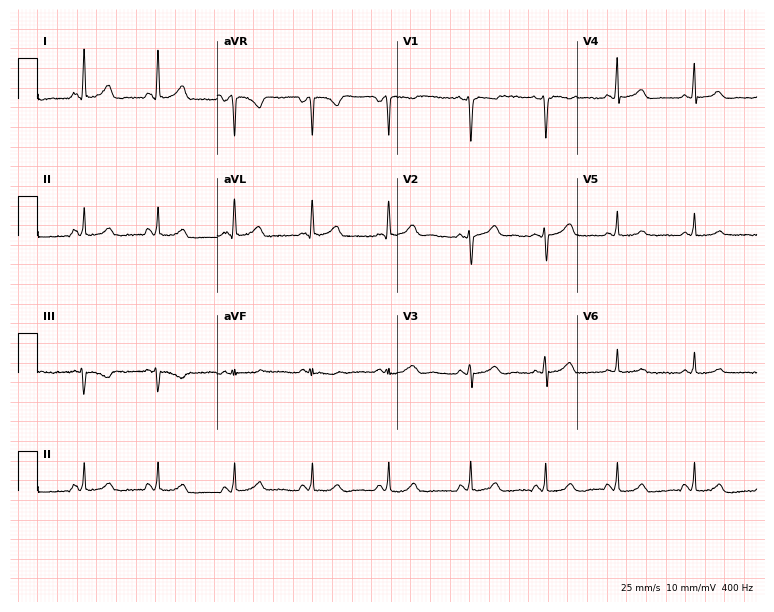
Standard 12-lead ECG recorded from a woman, 34 years old. None of these six findings is recorded: first-degree AV block, right bundle branch block (RBBB), left bundle branch block (LBBB), sinus bradycardia, atrial fibrillation (AF), sinus tachycardia.